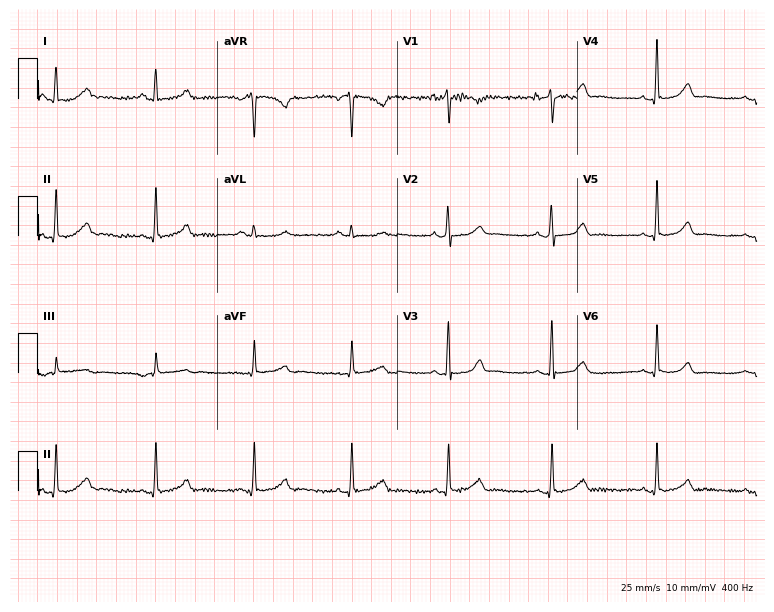
Standard 12-lead ECG recorded from a female, 32 years old. Read as a normal ECG.